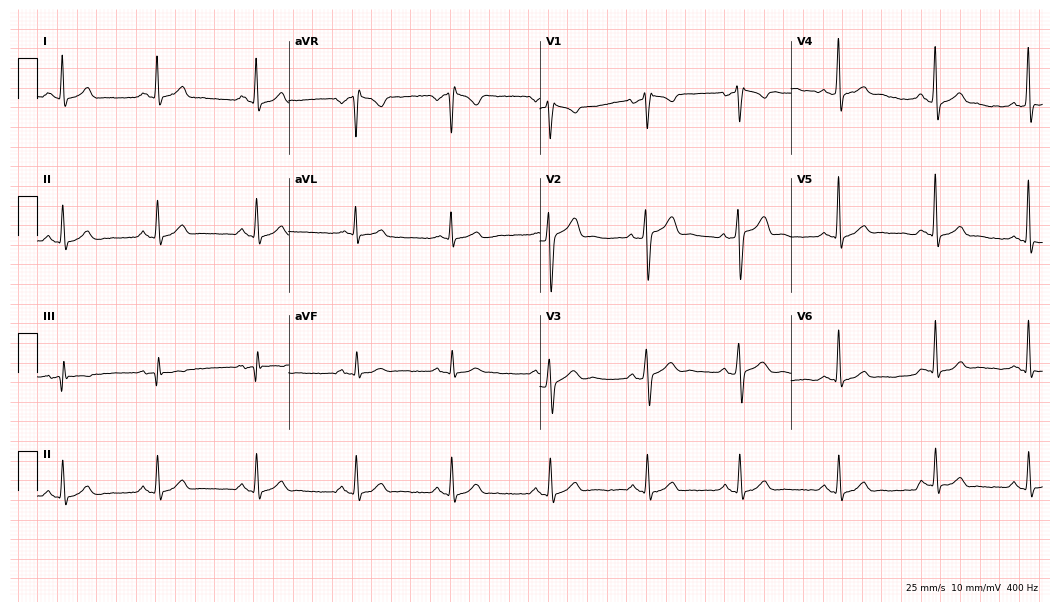
12-lead ECG from a 32-year-old man. Recorded interpretation: within normal limits.